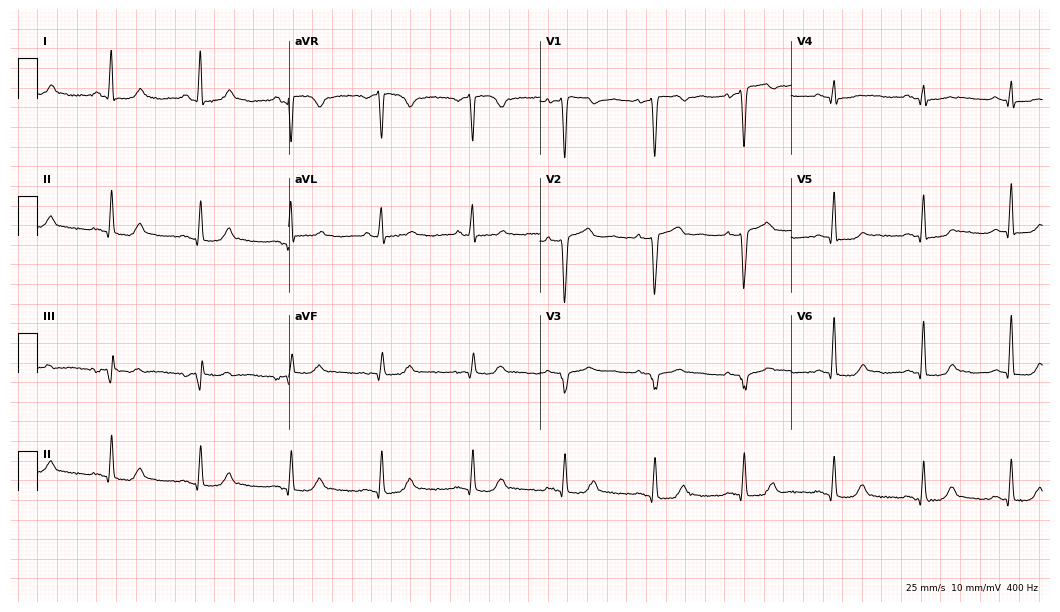
Standard 12-lead ECG recorded from a woman, 54 years old. None of these six findings is recorded: first-degree AV block, right bundle branch block, left bundle branch block, sinus bradycardia, atrial fibrillation, sinus tachycardia. Other findings, if any, are not listed.